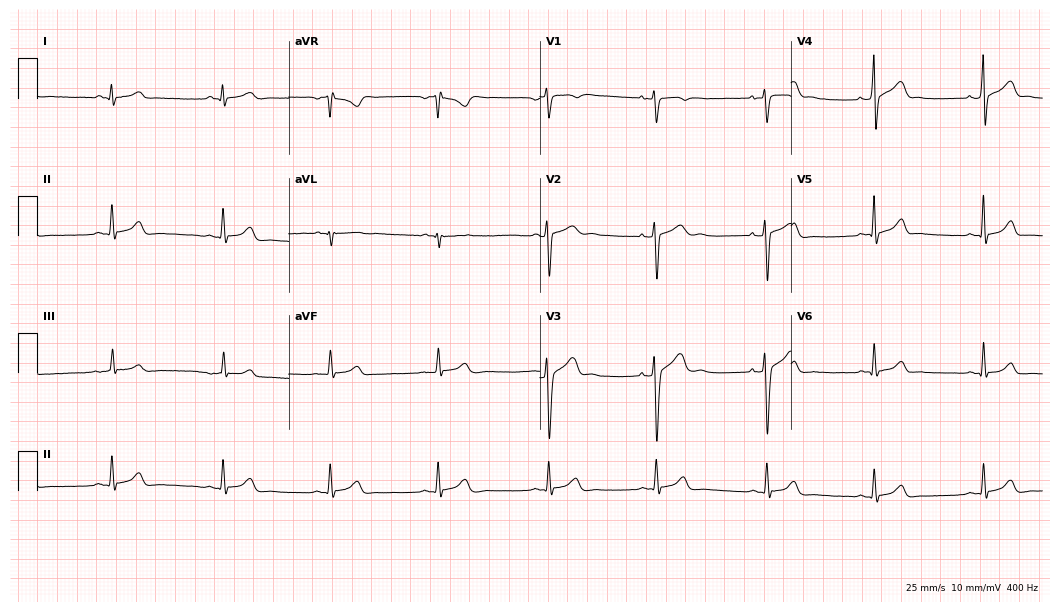
Standard 12-lead ECG recorded from a man, 22 years old. Read as a normal ECG.